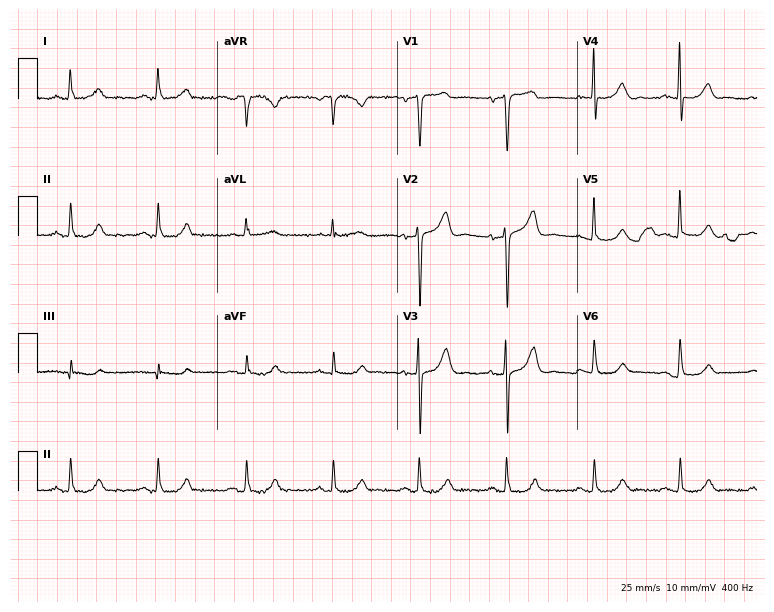
Electrocardiogram, a female, 75 years old. Of the six screened findings (first-degree AV block, right bundle branch block, left bundle branch block, sinus bradycardia, atrial fibrillation, sinus tachycardia), none is recorded. Other findings, if any, are not listed.